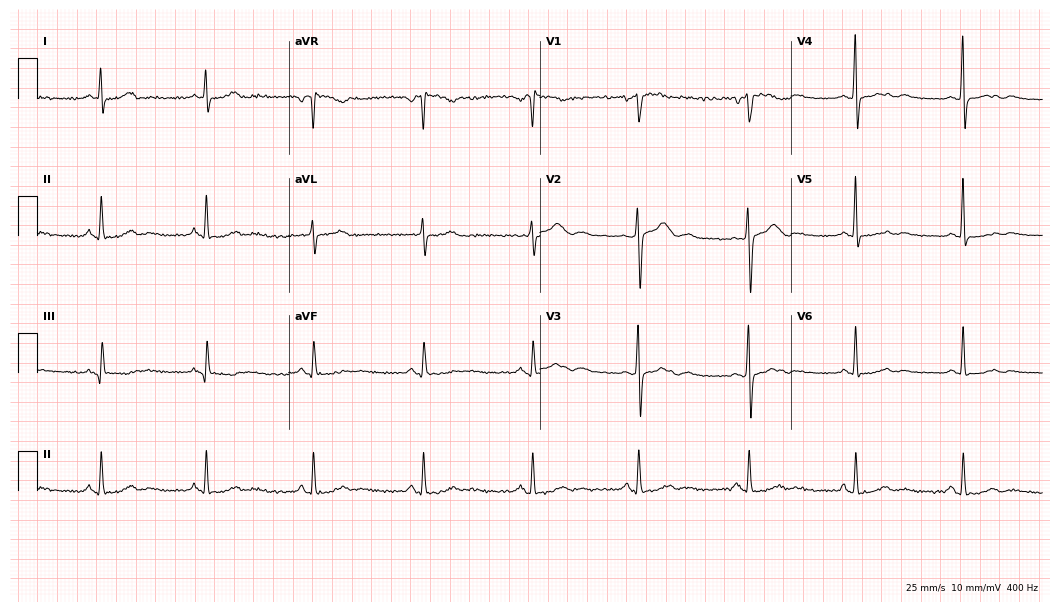
12-lead ECG from a 47-year-old female patient. Recorded interpretation: within normal limits.